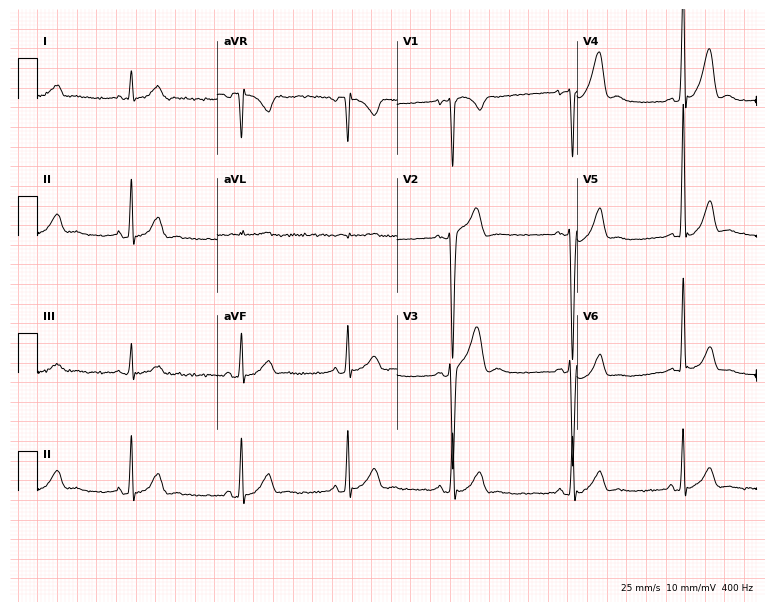
12-lead ECG (7.3-second recording at 400 Hz) from a 24-year-old man. Screened for six findings — first-degree AV block, right bundle branch block, left bundle branch block, sinus bradycardia, atrial fibrillation, sinus tachycardia — none is recorded. Findings outside these six are not listed.